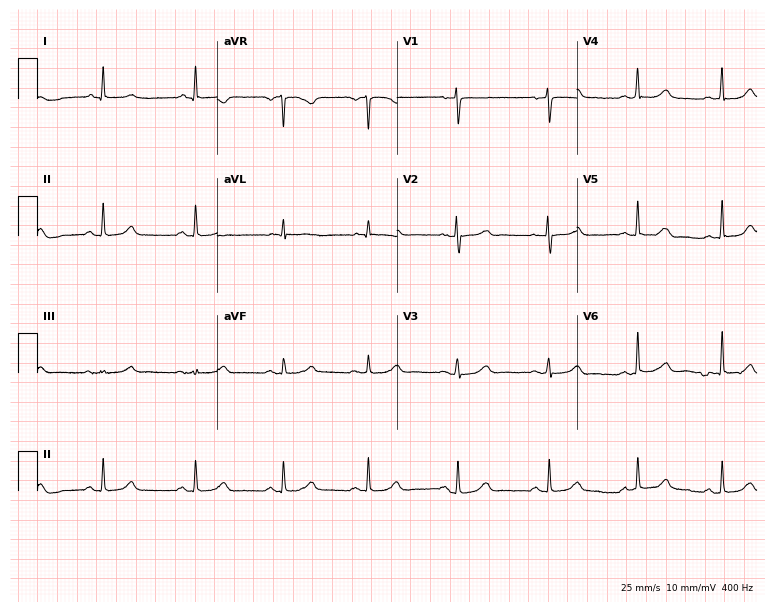
12-lead ECG (7.3-second recording at 400 Hz) from a female, 61 years old. Labelled as a normal ECG.